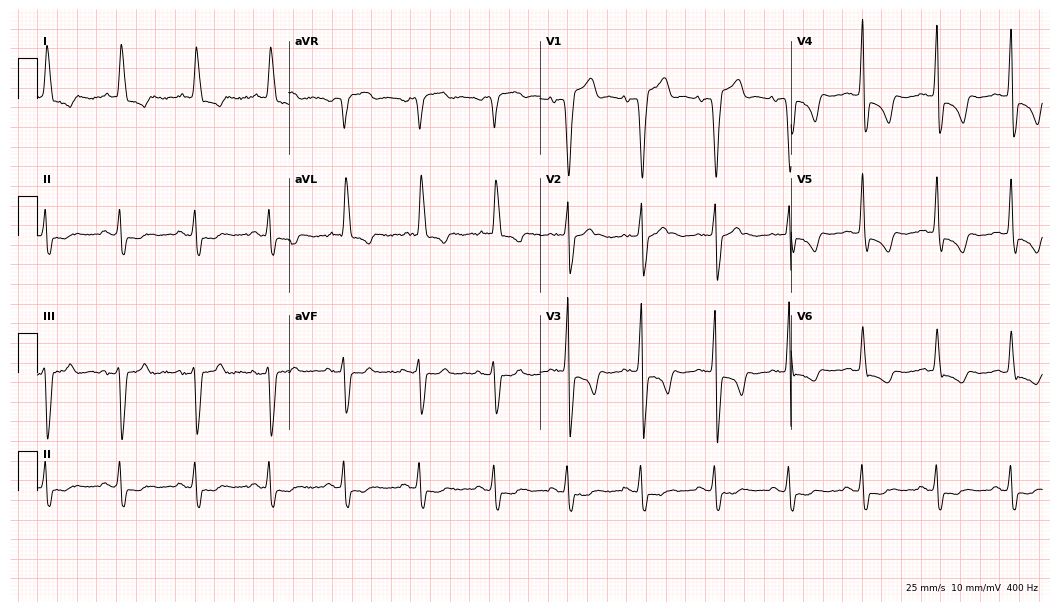
ECG — a man, 67 years old. Findings include left bundle branch block.